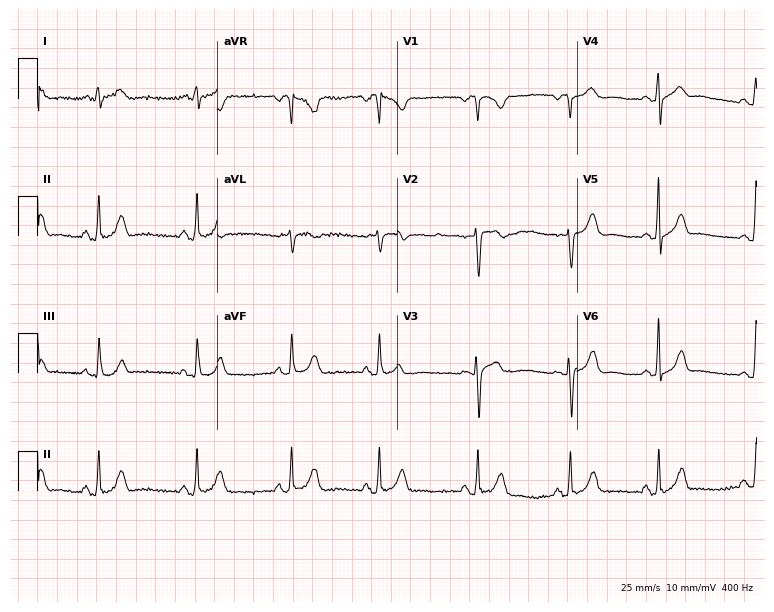
Standard 12-lead ECG recorded from a 32-year-old woman (7.3-second recording at 400 Hz). Read as a normal ECG.